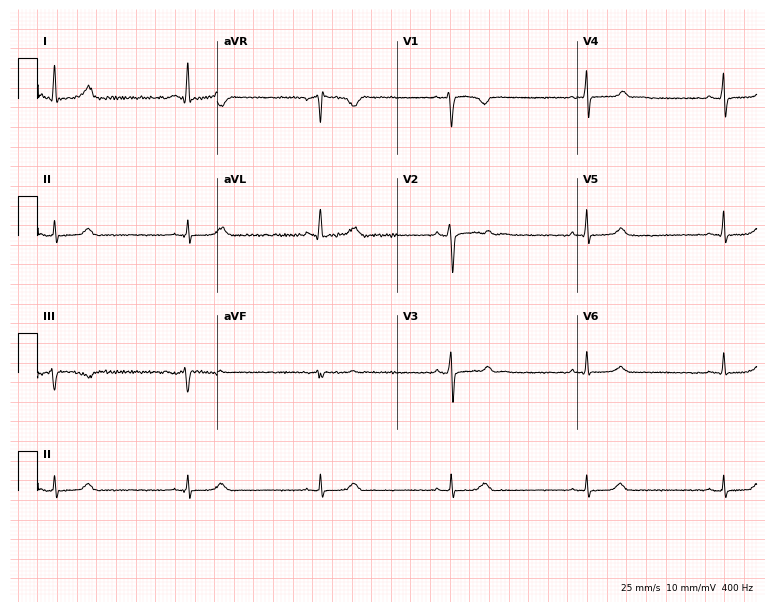
12-lead ECG from a 52-year-old female patient. Shows sinus bradycardia (a sinus rate of 50 beats per minute or less).